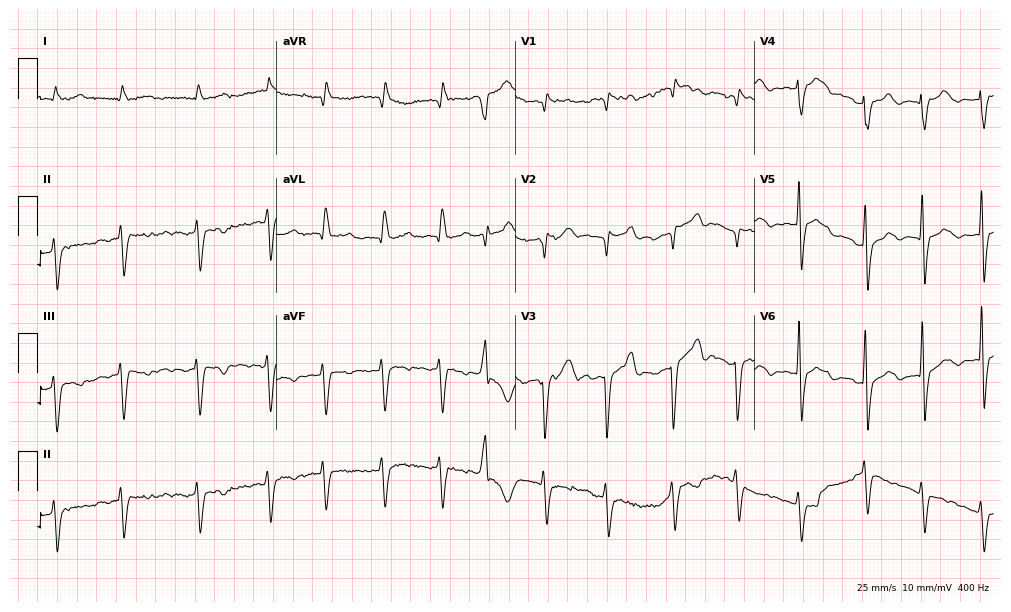
Resting 12-lead electrocardiogram. Patient: a man, 82 years old. The tracing shows atrial fibrillation.